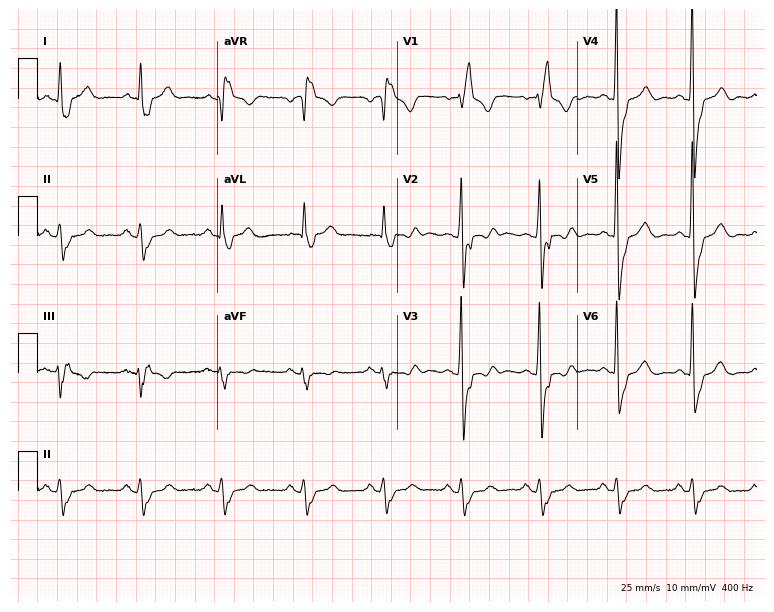
Electrocardiogram (7.3-second recording at 400 Hz), a male, 59 years old. Interpretation includes right bundle branch block.